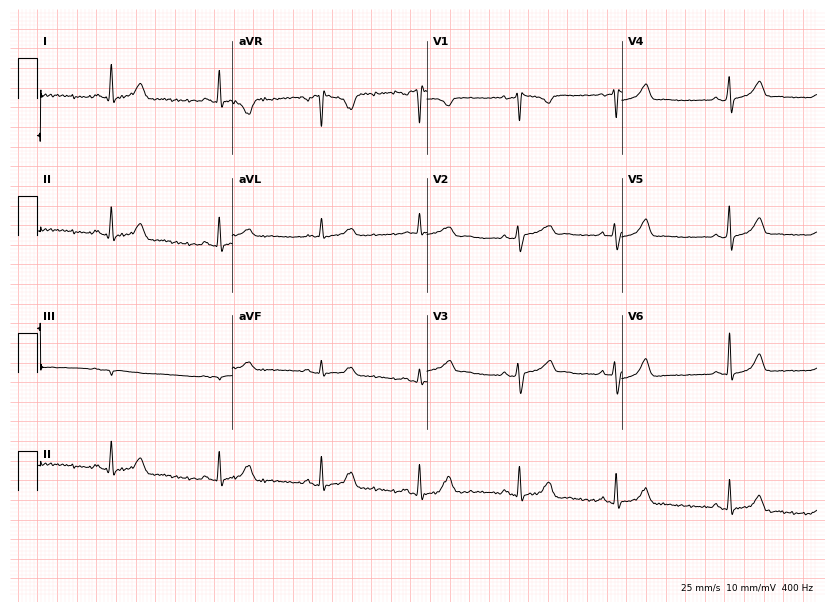
ECG — a female patient, 25 years old. Labelled as a normal ECG.